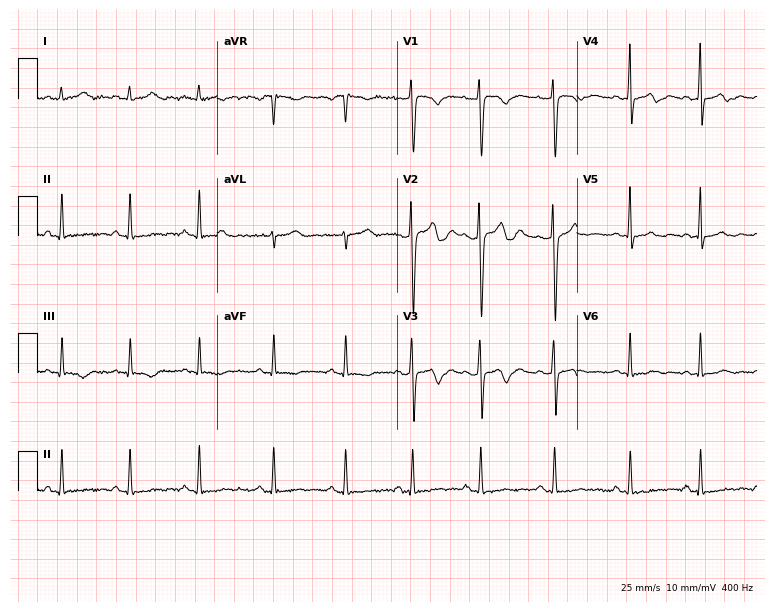
12-lead ECG from an 18-year-old female. No first-degree AV block, right bundle branch block (RBBB), left bundle branch block (LBBB), sinus bradycardia, atrial fibrillation (AF) or sinus tachycardia recorded for this tracing.